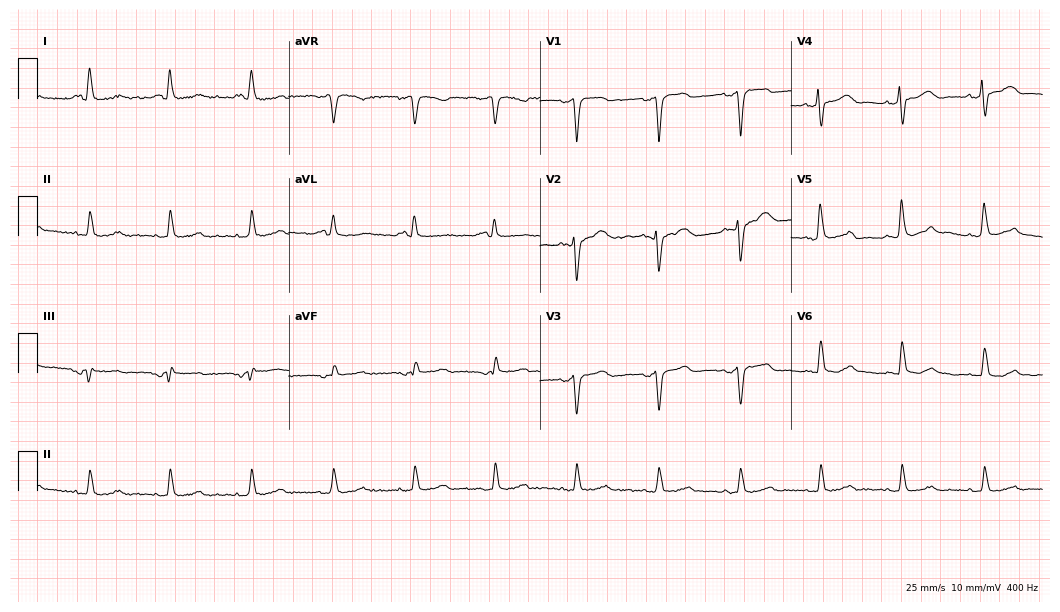
Standard 12-lead ECG recorded from a male, 51 years old. Read as a normal ECG.